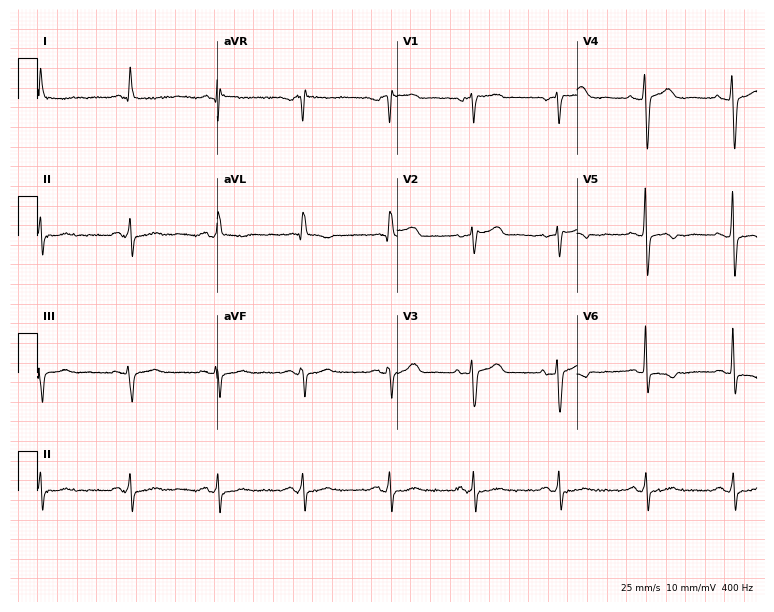
Electrocardiogram (7.3-second recording at 400 Hz), a 67-year-old woman. Of the six screened findings (first-degree AV block, right bundle branch block (RBBB), left bundle branch block (LBBB), sinus bradycardia, atrial fibrillation (AF), sinus tachycardia), none is recorded.